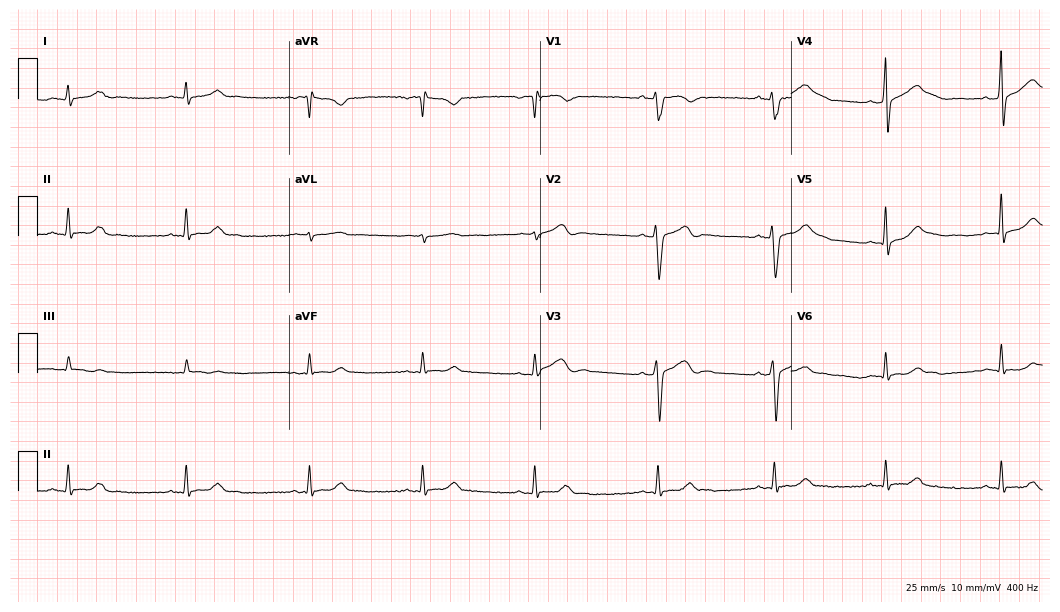
Electrocardiogram (10.2-second recording at 400 Hz), a 35-year-old male patient. Overall reading on record: normal ECG.